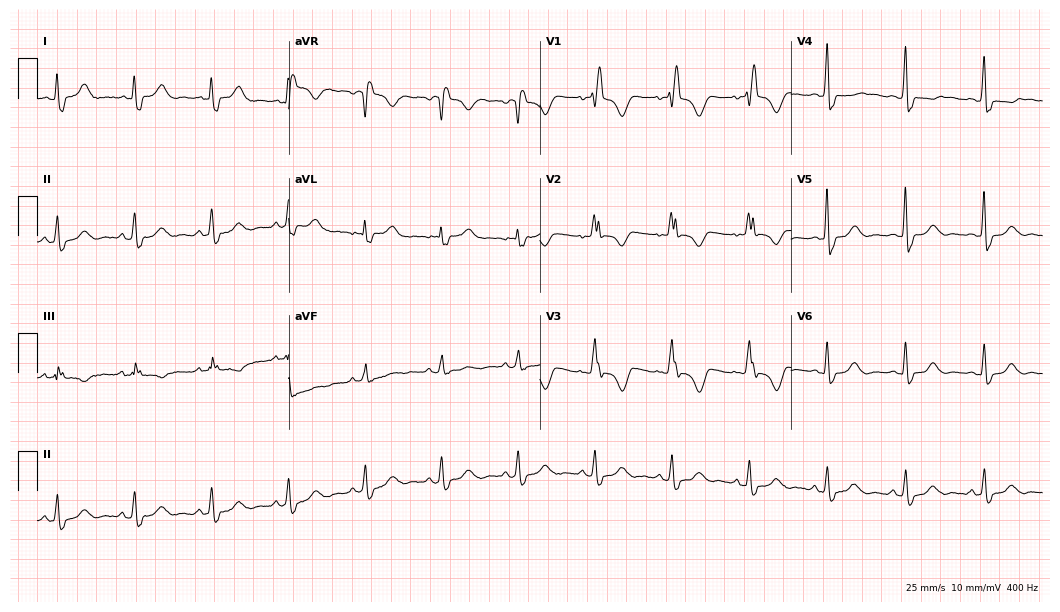
12-lead ECG from a 50-year-old female. Shows right bundle branch block.